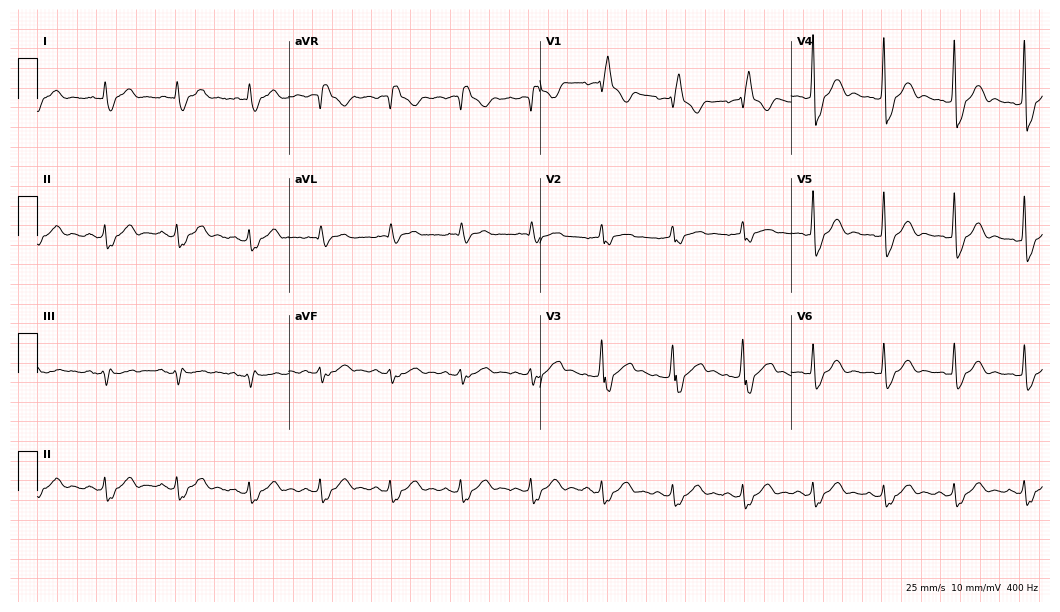
12-lead ECG (10.2-second recording at 400 Hz) from an 82-year-old male. Findings include right bundle branch block.